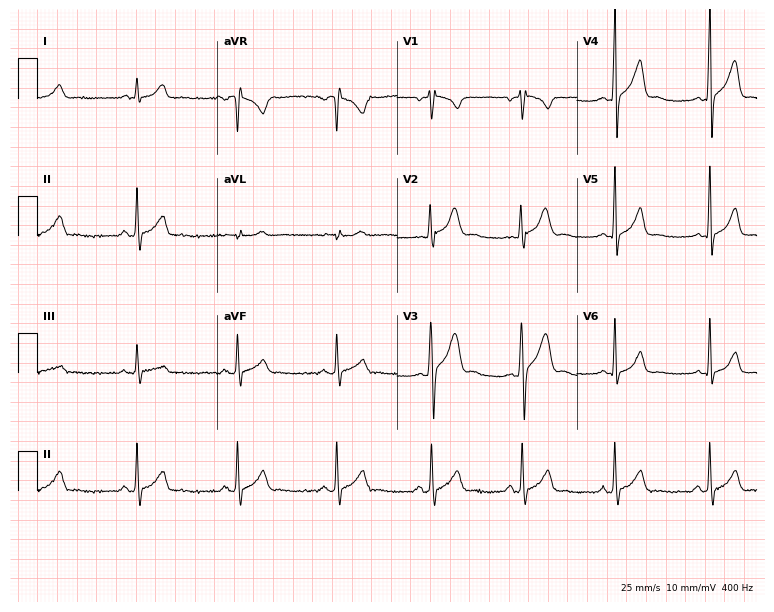
12-lead ECG from a male, 26 years old (7.3-second recording at 400 Hz). Recorded interpretation: within normal limits.